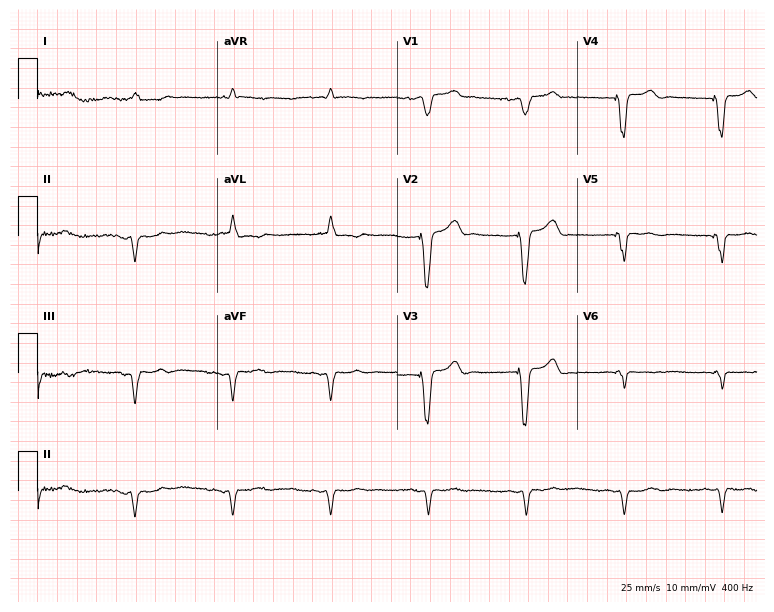
Standard 12-lead ECG recorded from a female patient, 76 years old. None of these six findings is recorded: first-degree AV block, right bundle branch block, left bundle branch block, sinus bradycardia, atrial fibrillation, sinus tachycardia. Only these six findings were labelled.